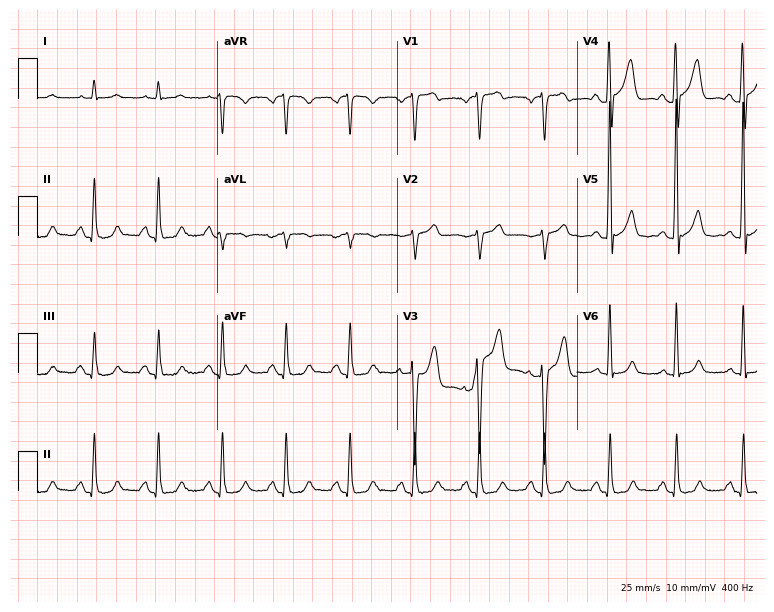
Standard 12-lead ECG recorded from a man, 76 years old (7.3-second recording at 400 Hz). Read as a normal ECG.